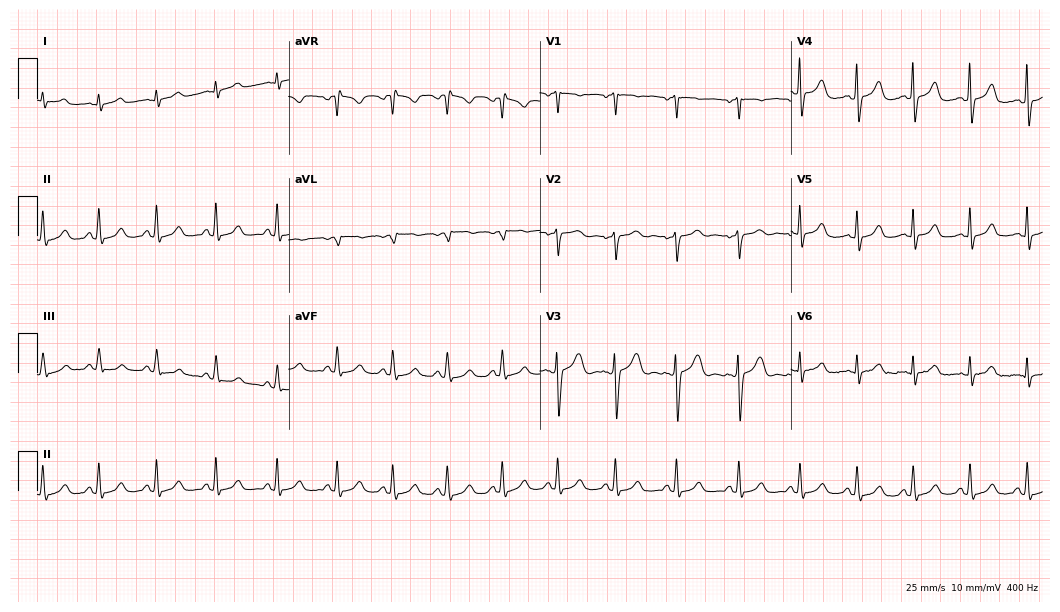
12-lead ECG from a male, 18 years old (10.2-second recording at 400 Hz). Recorded interpretation: within normal limits.